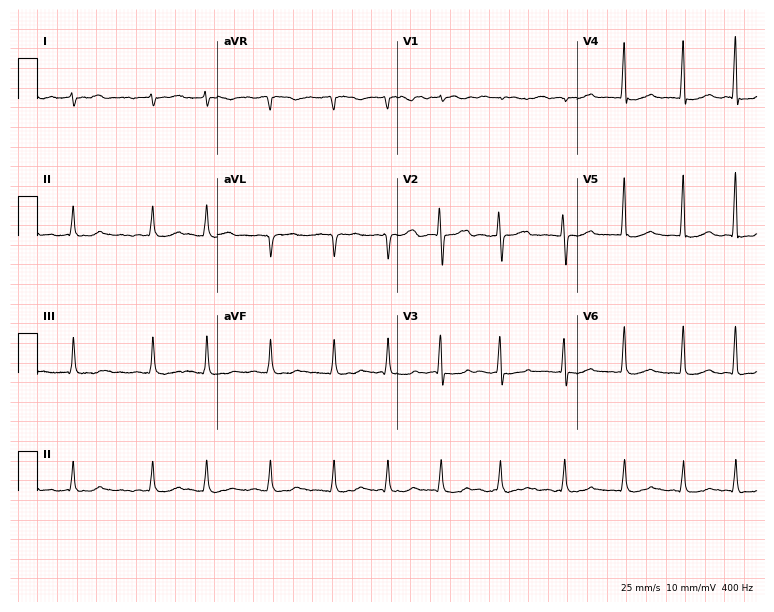
12-lead ECG from a 42-year-old female patient. Shows atrial fibrillation (AF).